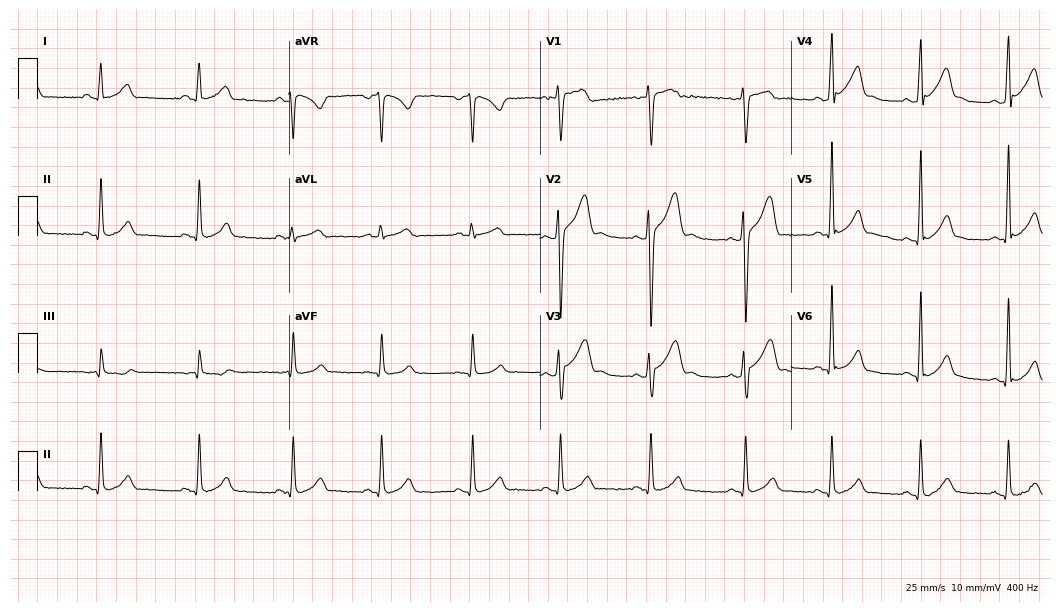
12-lead ECG from a male patient, 24 years old. Recorded interpretation: within normal limits.